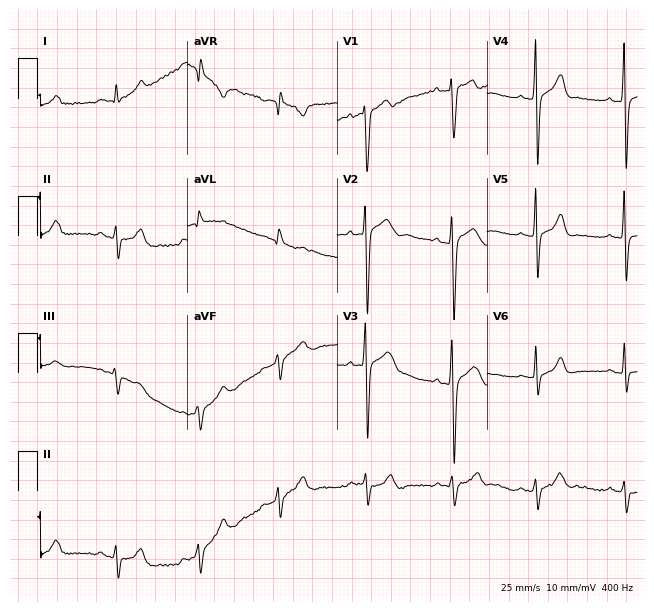
12-lead ECG (6.1-second recording at 400 Hz) from a male, 18 years old. Screened for six findings — first-degree AV block, right bundle branch block, left bundle branch block, sinus bradycardia, atrial fibrillation, sinus tachycardia — none is recorded.